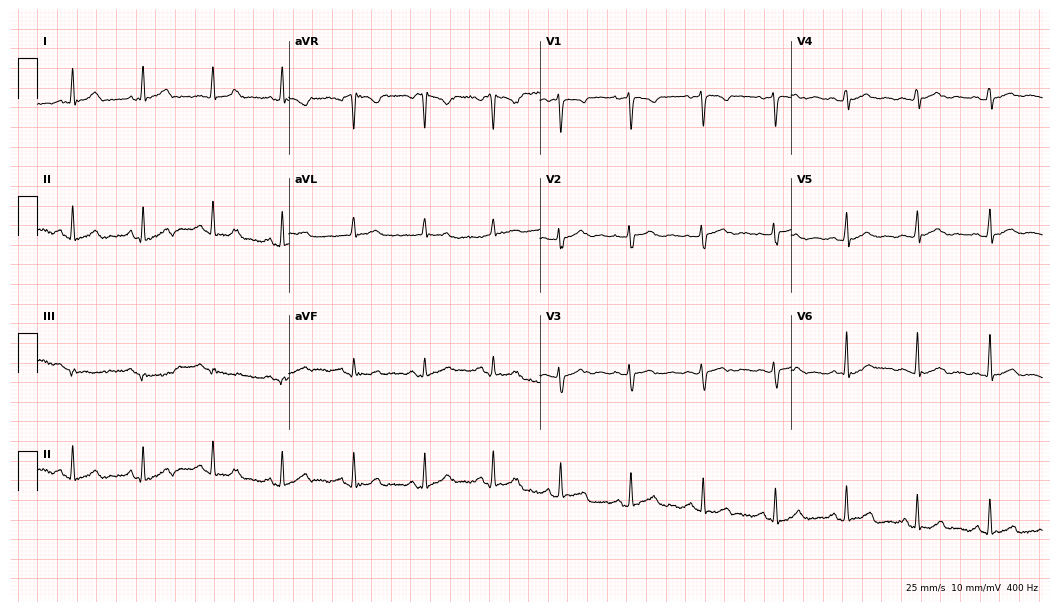
12-lead ECG (10.2-second recording at 400 Hz) from a woman, 31 years old. Labelled as a normal ECG.